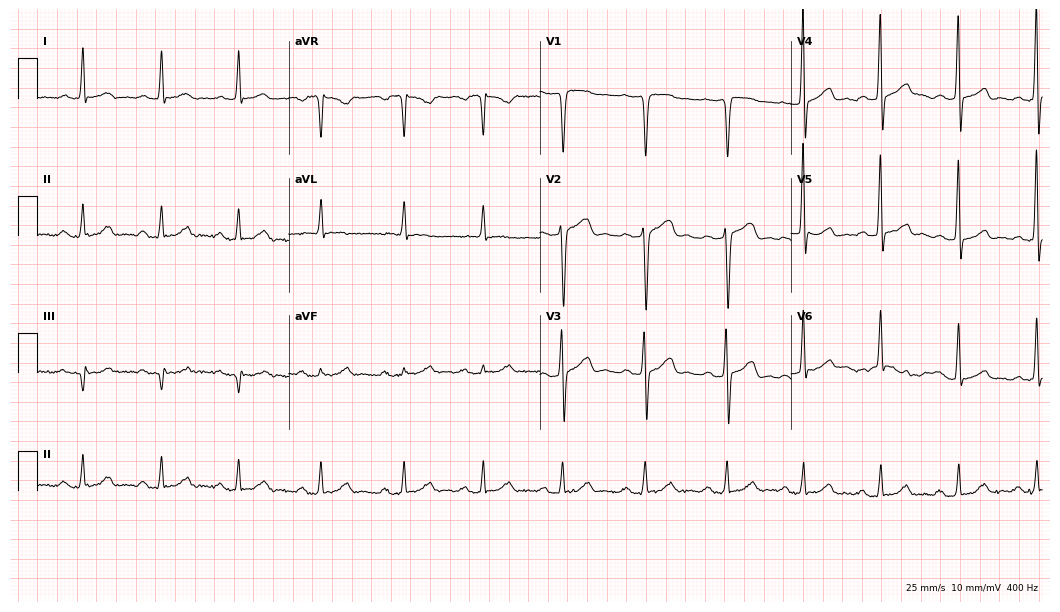
ECG — a 58-year-old female patient. Labelled as a normal ECG.